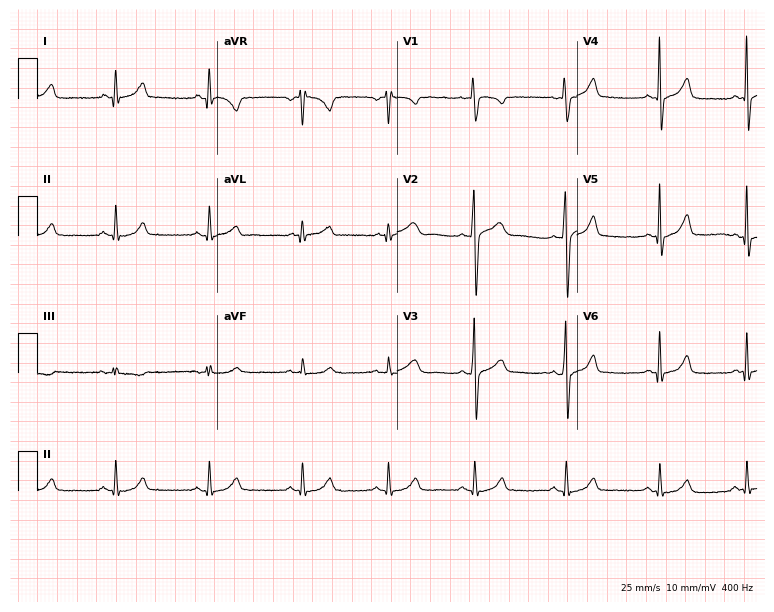
Electrocardiogram, a female patient, 33 years old. Overall reading on record: normal ECG.